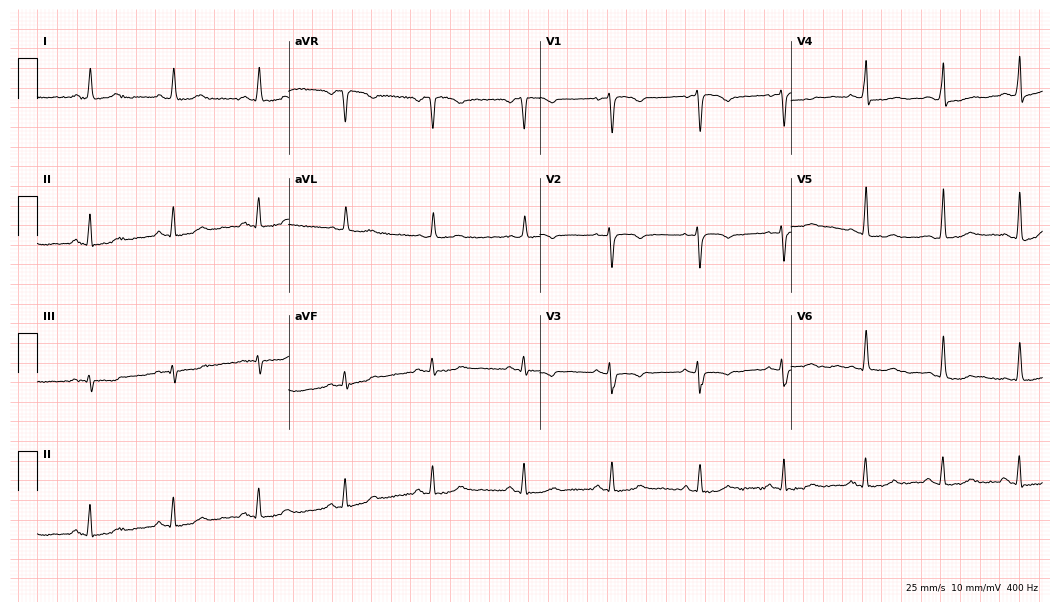
Electrocardiogram (10.2-second recording at 400 Hz), a woman, 56 years old. Of the six screened findings (first-degree AV block, right bundle branch block (RBBB), left bundle branch block (LBBB), sinus bradycardia, atrial fibrillation (AF), sinus tachycardia), none is recorded.